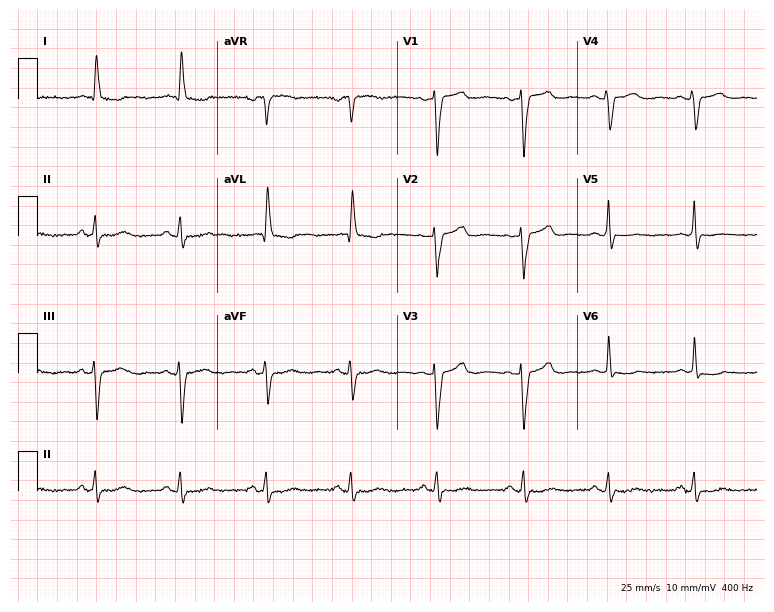
12-lead ECG from a woman, 67 years old. Screened for six findings — first-degree AV block, right bundle branch block (RBBB), left bundle branch block (LBBB), sinus bradycardia, atrial fibrillation (AF), sinus tachycardia — none is recorded. Findings outside these six are not listed.